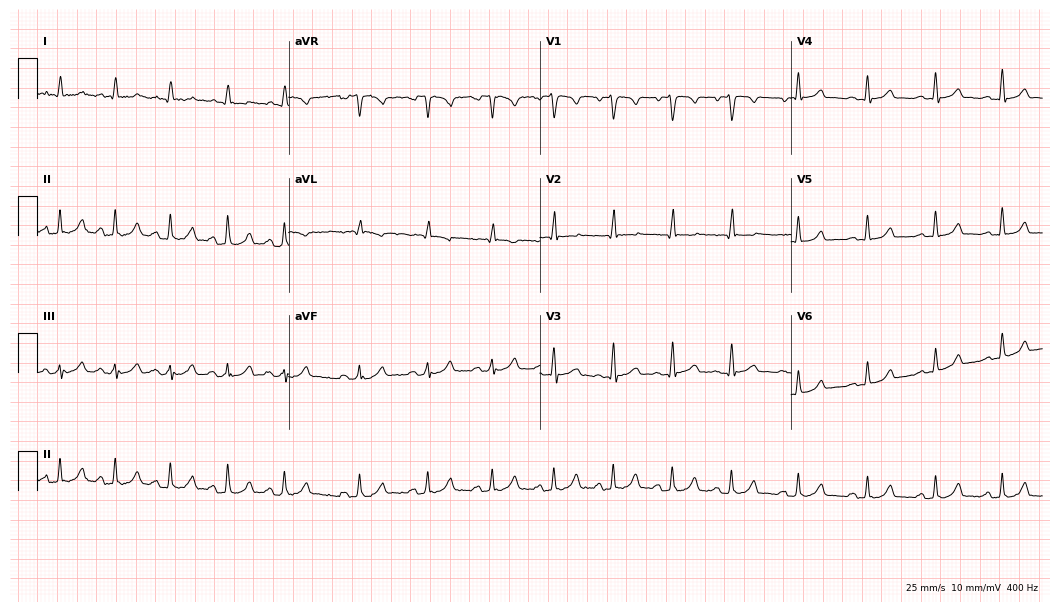
ECG — a 65-year-old man. Screened for six findings — first-degree AV block, right bundle branch block, left bundle branch block, sinus bradycardia, atrial fibrillation, sinus tachycardia — none is recorded. Other findings, if any, are not listed.